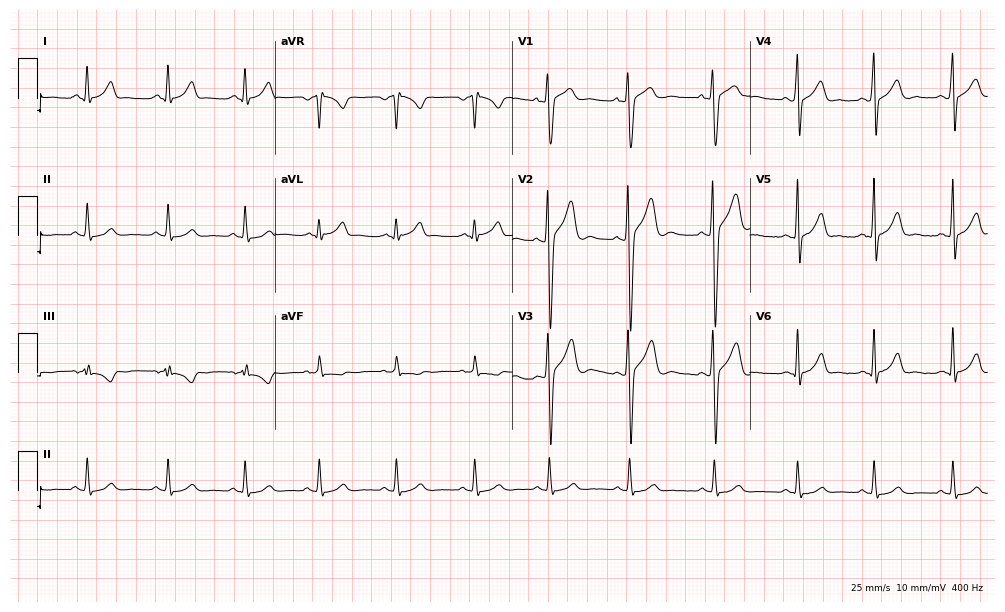
Resting 12-lead electrocardiogram (9.7-second recording at 400 Hz). Patient: a male, 28 years old. Read as a normal ECG.